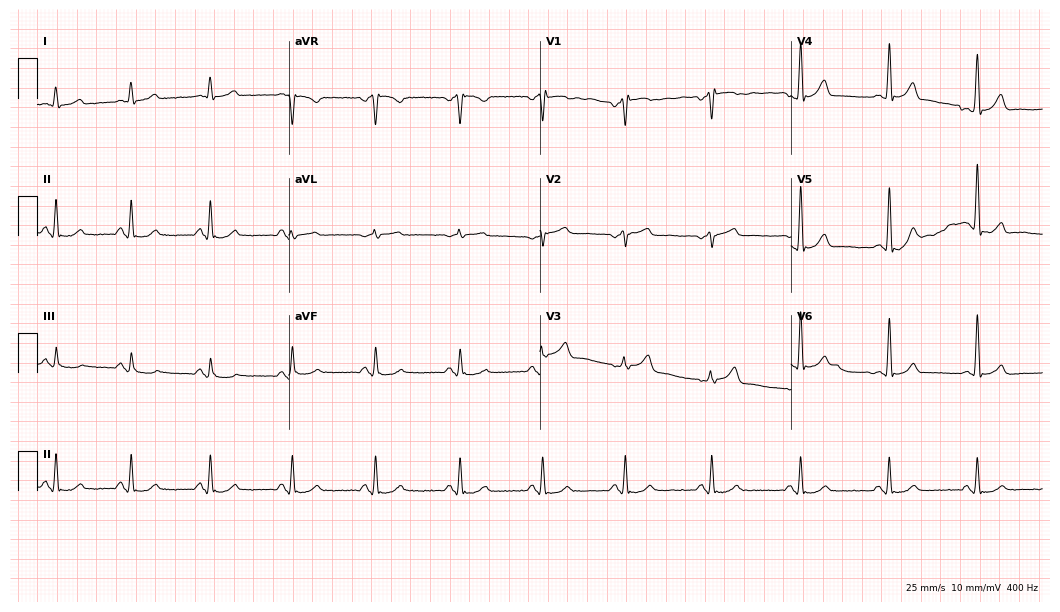
ECG (10.2-second recording at 400 Hz) — a male, 75 years old. Labelled as a normal ECG.